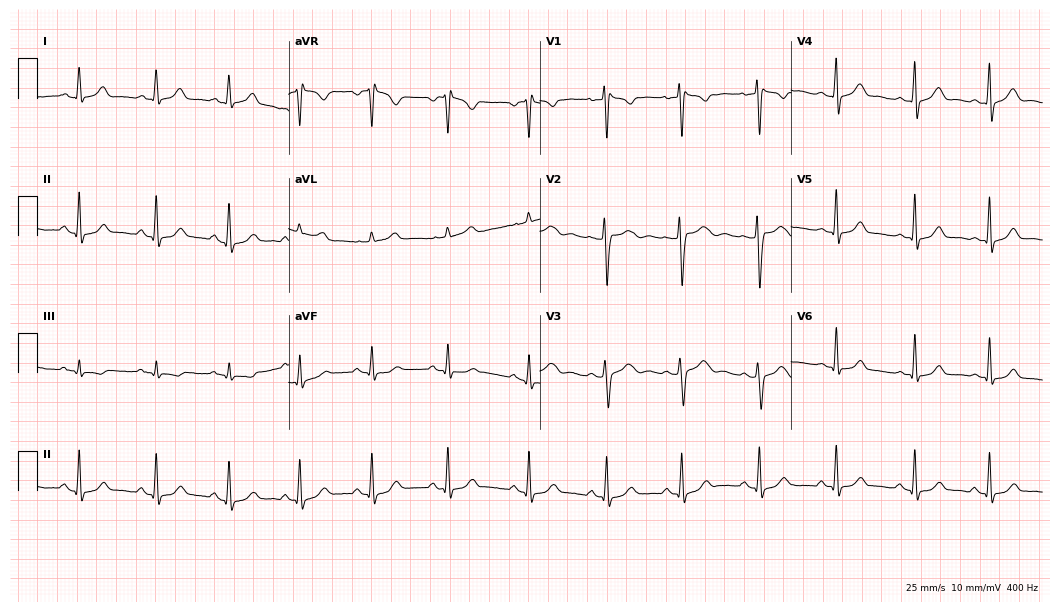
12-lead ECG from a female, 46 years old. No first-degree AV block, right bundle branch block (RBBB), left bundle branch block (LBBB), sinus bradycardia, atrial fibrillation (AF) or sinus tachycardia recorded for this tracing.